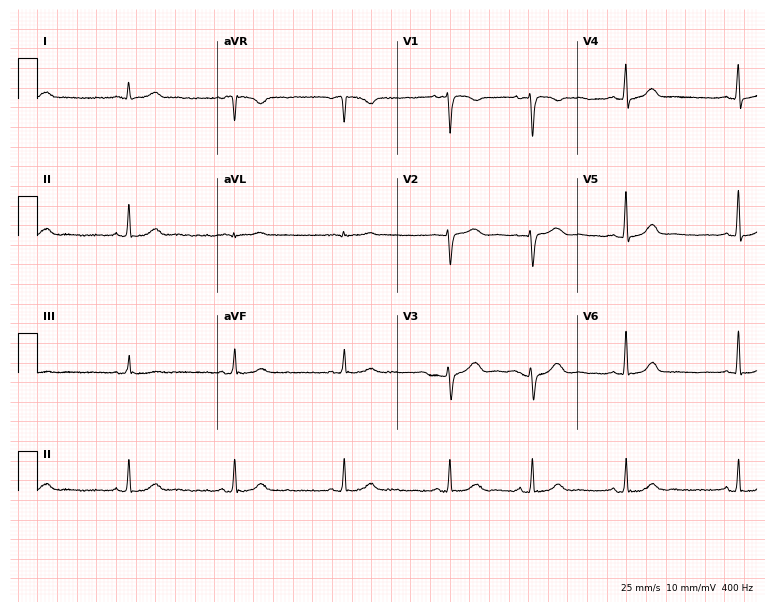
ECG (7.3-second recording at 400 Hz) — a female patient, 42 years old. Labelled as a normal ECG.